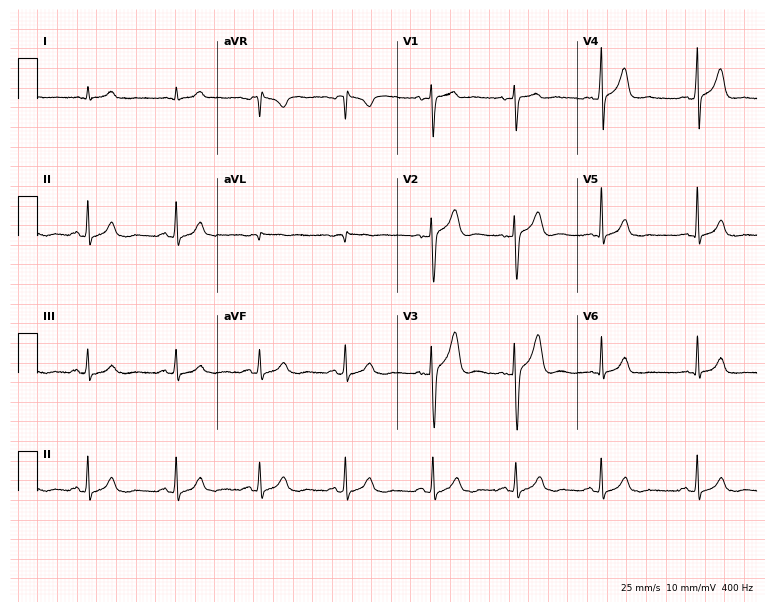
Electrocardiogram, a male patient, 27 years old. Of the six screened findings (first-degree AV block, right bundle branch block, left bundle branch block, sinus bradycardia, atrial fibrillation, sinus tachycardia), none is recorded.